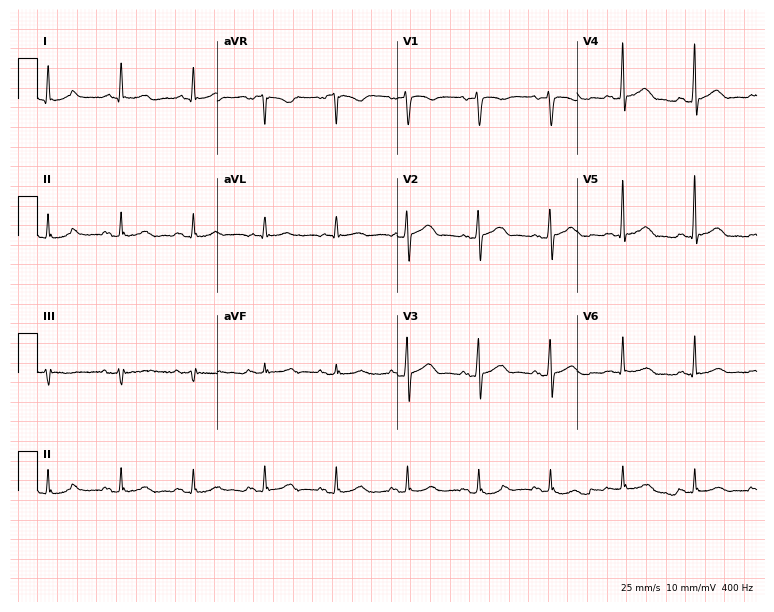
Resting 12-lead electrocardiogram. Patient: a 66-year-old male. Read as a normal ECG.